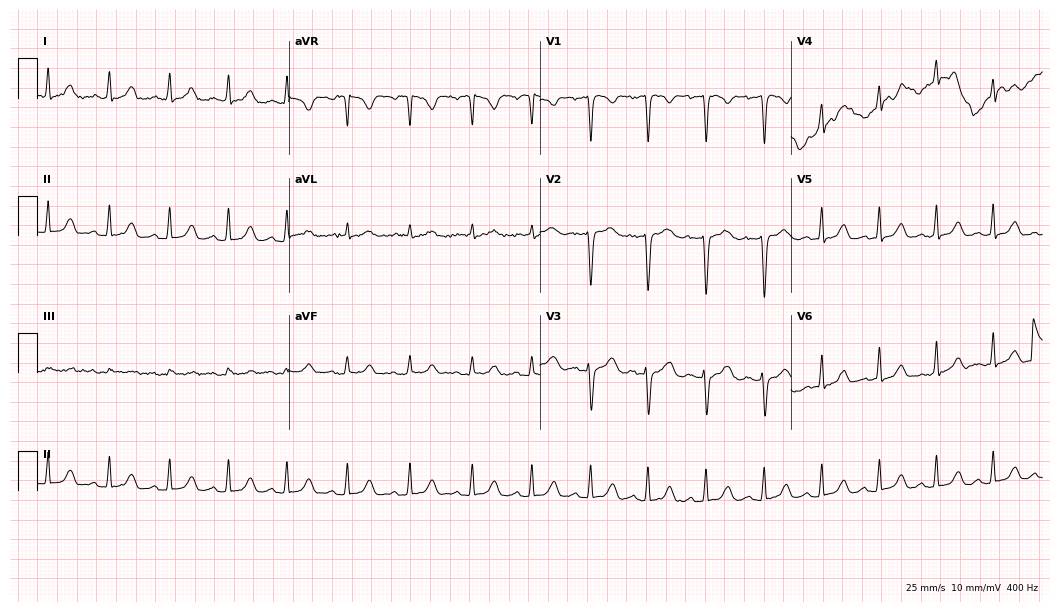
Resting 12-lead electrocardiogram. Patient: a female, 23 years old. Read as a normal ECG.